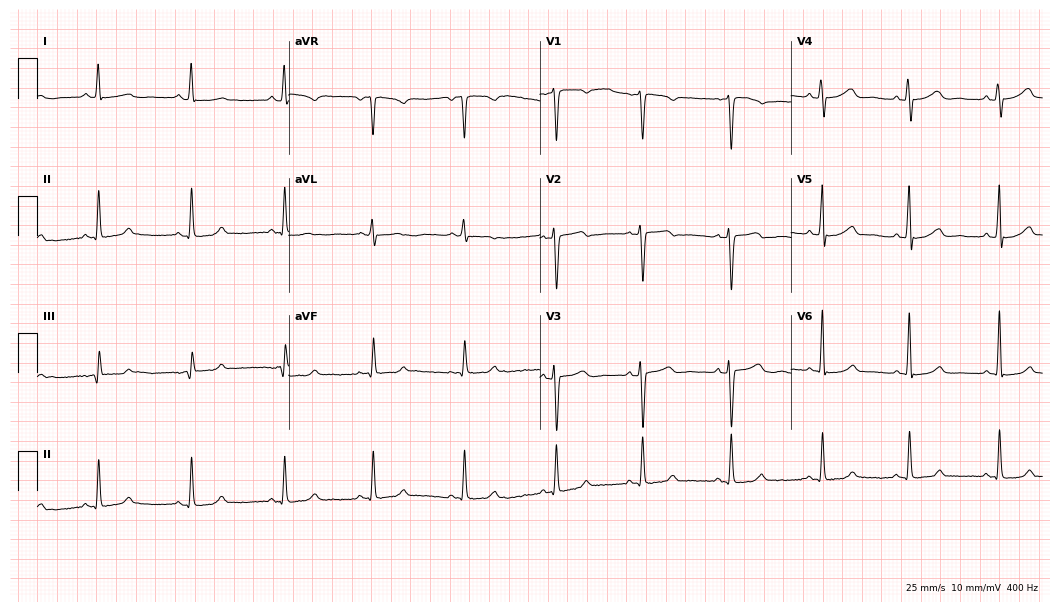
12-lead ECG from a 37-year-old woman. Screened for six findings — first-degree AV block, right bundle branch block, left bundle branch block, sinus bradycardia, atrial fibrillation, sinus tachycardia — none is recorded. Other findings, if any, are not listed.